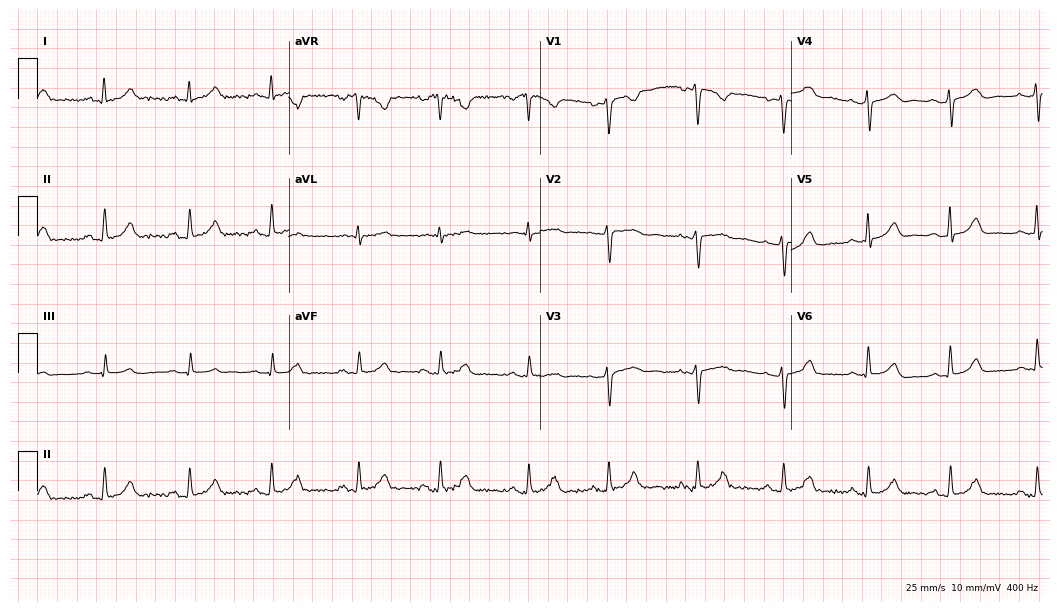
Standard 12-lead ECG recorded from a female, 38 years old. None of these six findings is recorded: first-degree AV block, right bundle branch block (RBBB), left bundle branch block (LBBB), sinus bradycardia, atrial fibrillation (AF), sinus tachycardia.